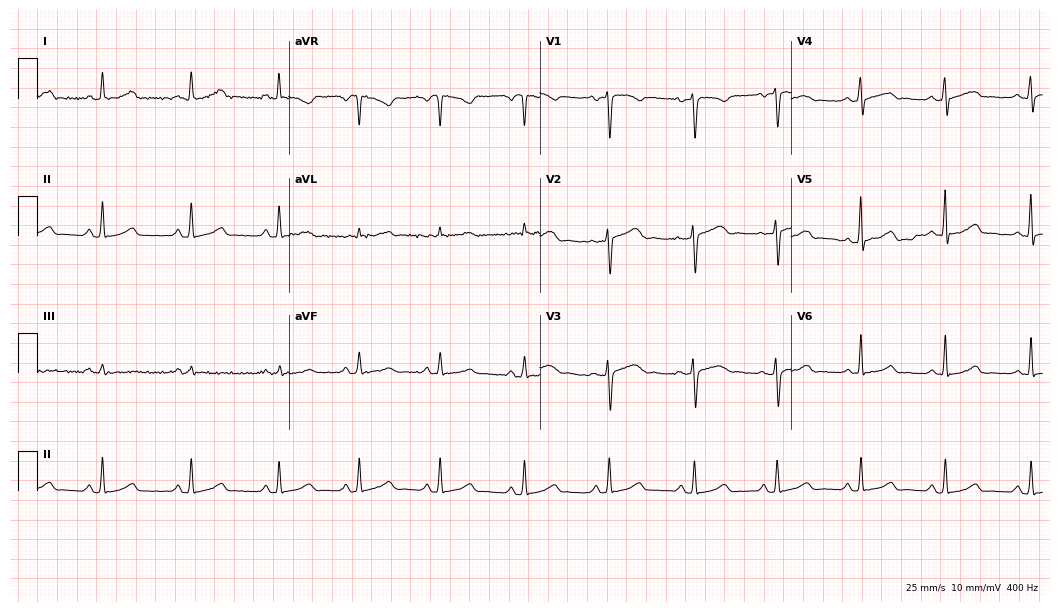
Resting 12-lead electrocardiogram. Patient: a 37-year-old female. Read as a normal ECG.